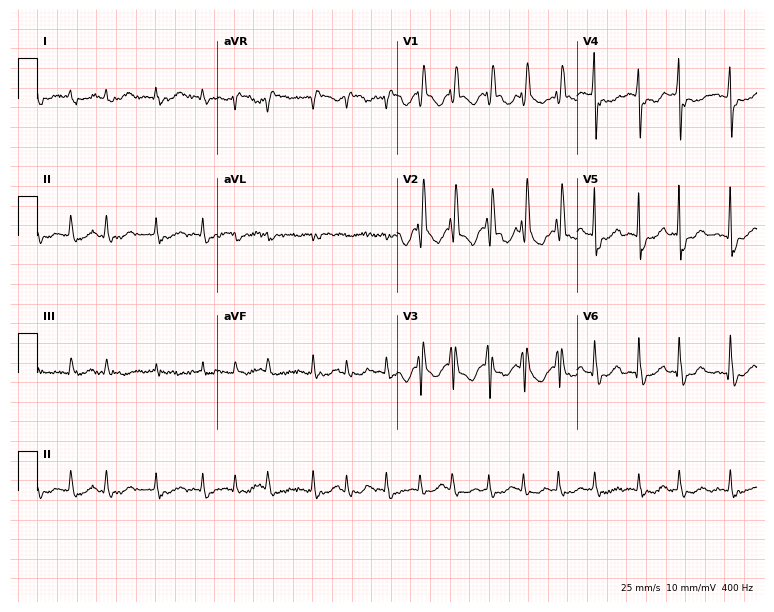
Resting 12-lead electrocardiogram. Patient: a female, 73 years old. The tracing shows right bundle branch block, atrial fibrillation.